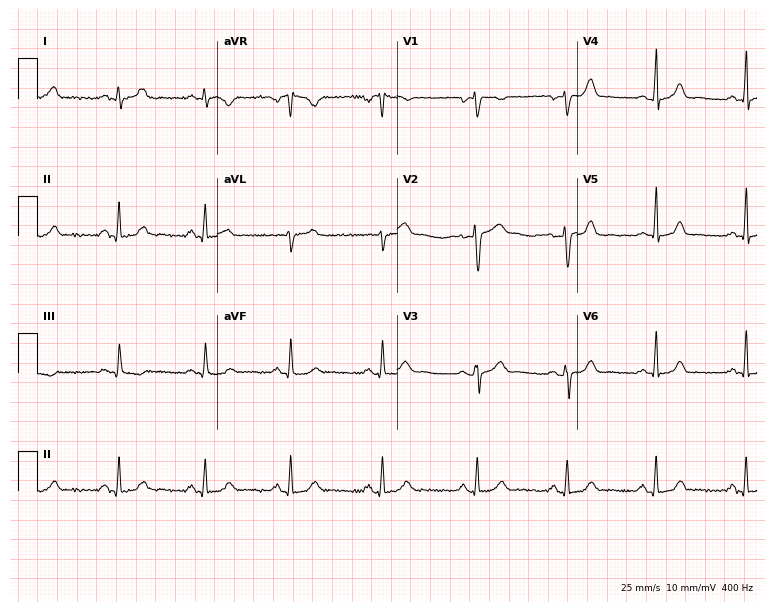
12-lead ECG (7.3-second recording at 400 Hz) from a woman, 39 years old. Labelled as a normal ECG.